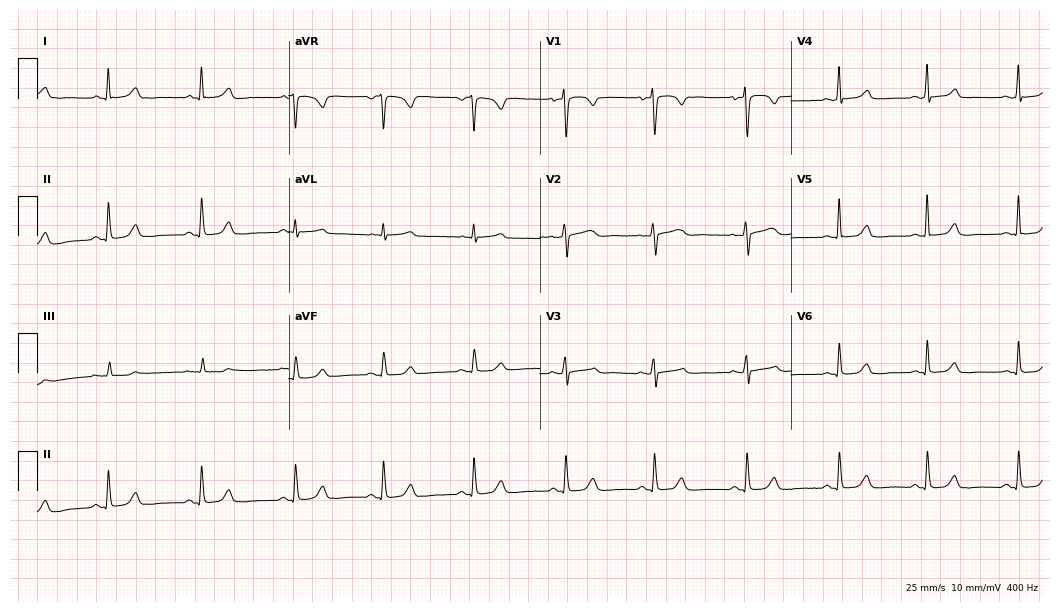
12-lead ECG (10.2-second recording at 400 Hz) from a woman, 44 years old. Labelled as a normal ECG.